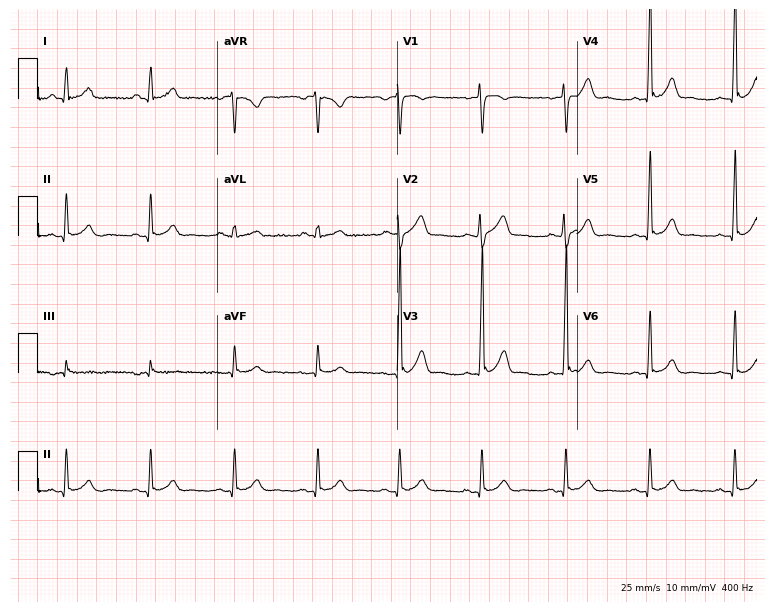
Standard 12-lead ECG recorded from a male patient, 42 years old. Read as a normal ECG.